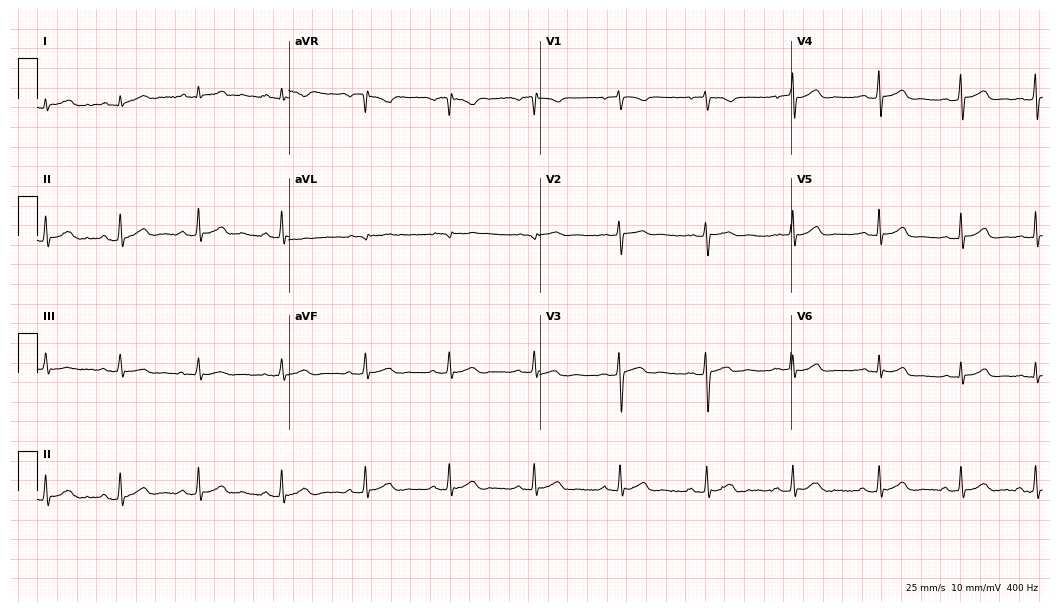
12-lead ECG from a woman, 17 years old. Recorded interpretation: within normal limits.